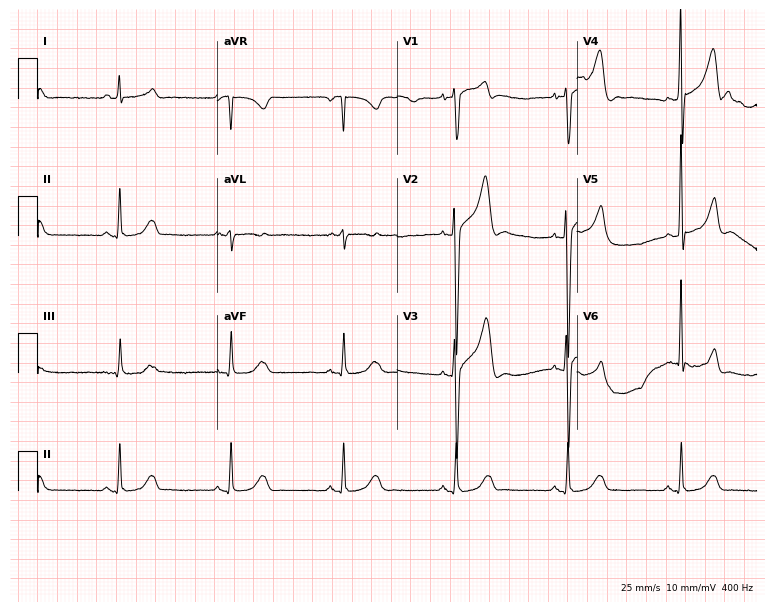
Electrocardiogram, a 67-year-old man. Of the six screened findings (first-degree AV block, right bundle branch block, left bundle branch block, sinus bradycardia, atrial fibrillation, sinus tachycardia), none is recorded.